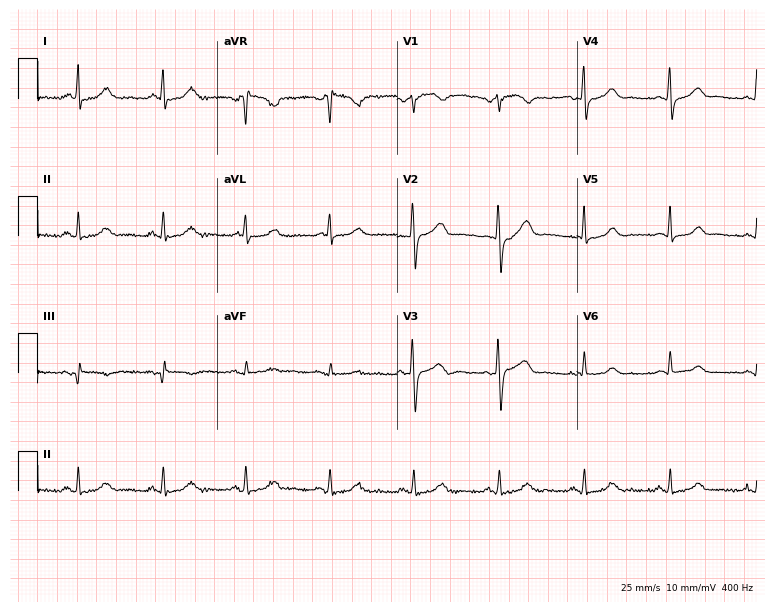
Standard 12-lead ECG recorded from a female patient, 65 years old (7.3-second recording at 400 Hz). Read as a normal ECG.